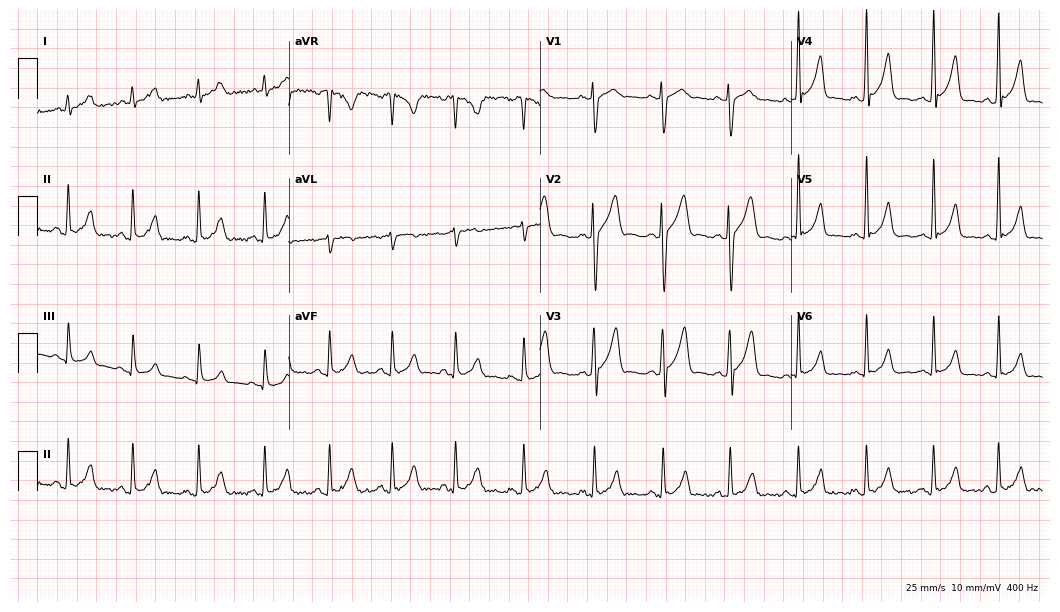
Electrocardiogram (10.2-second recording at 400 Hz), a 20-year-old man. Of the six screened findings (first-degree AV block, right bundle branch block (RBBB), left bundle branch block (LBBB), sinus bradycardia, atrial fibrillation (AF), sinus tachycardia), none is recorded.